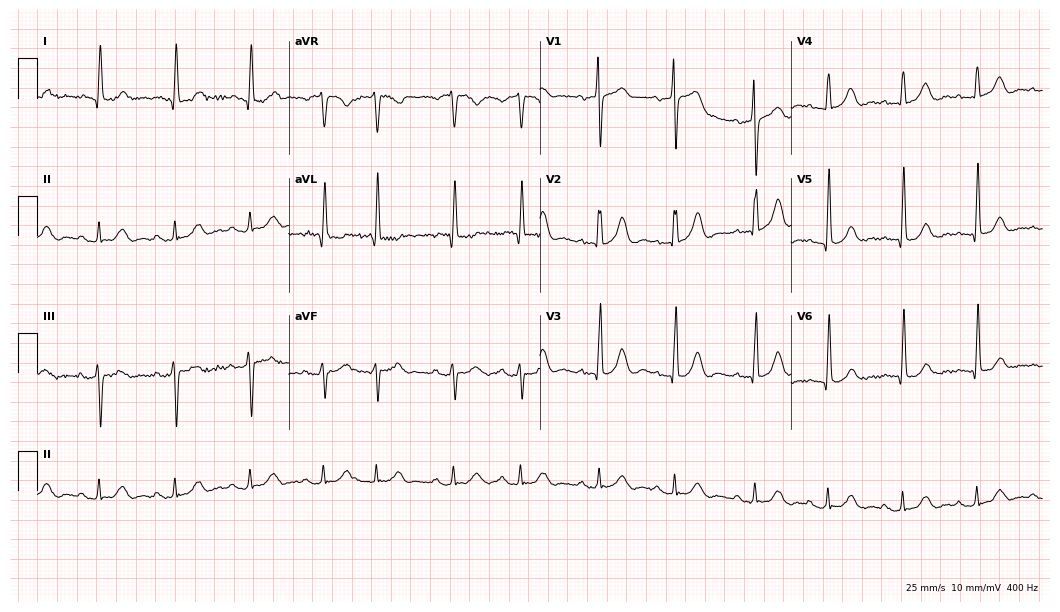
12-lead ECG from an 87-year-old woman. Recorded interpretation: within normal limits.